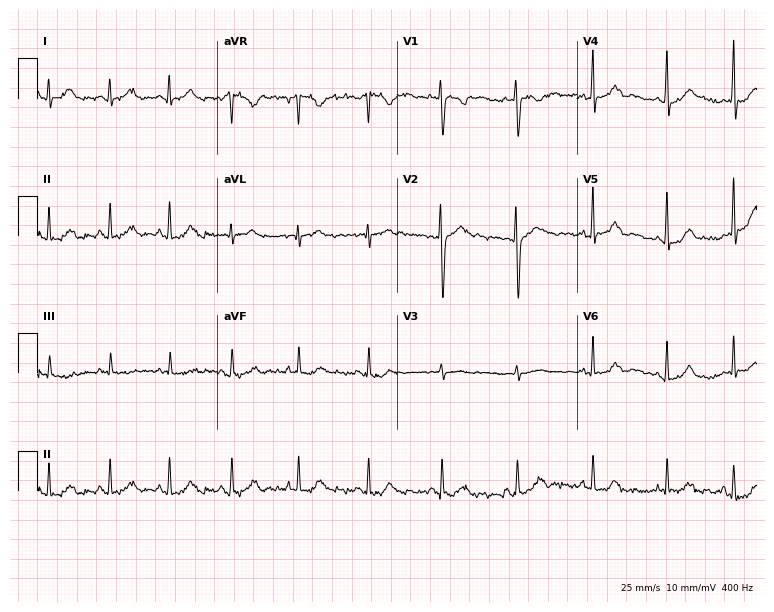
ECG — a female, 30 years old. Screened for six findings — first-degree AV block, right bundle branch block, left bundle branch block, sinus bradycardia, atrial fibrillation, sinus tachycardia — none is recorded. Findings outside these six are not listed.